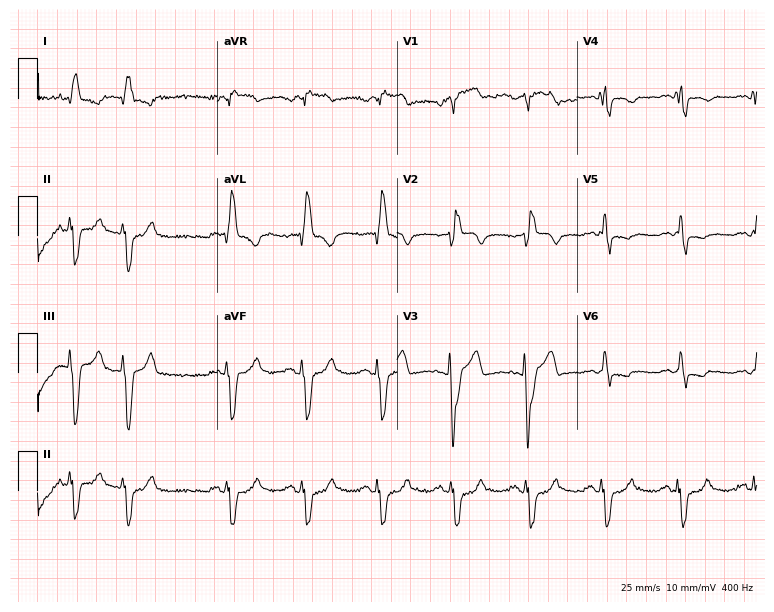
ECG — a 61-year-old male patient. Findings include right bundle branch block.